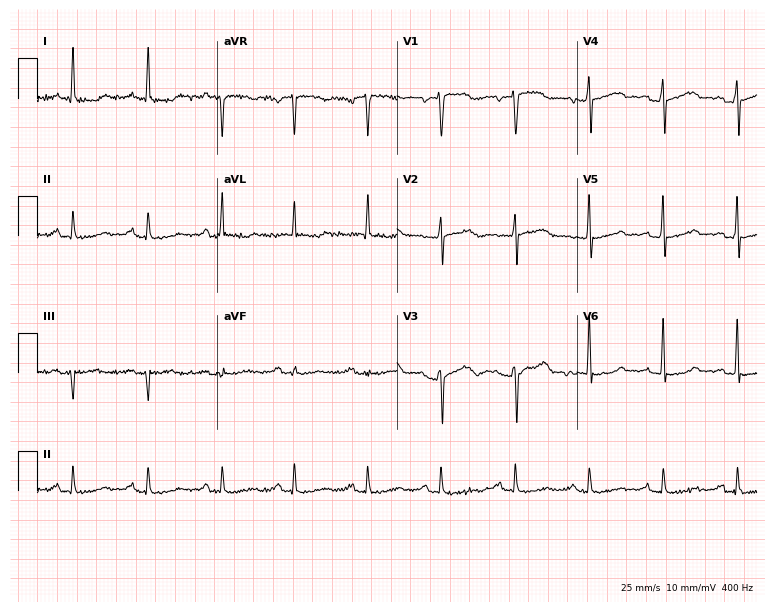
Resting 12-lead electrocardiogram. Patient: a man, 78 years old. None of these six findings is recorded: first-degree AV block, right bundle branch block (RBBB), left bundle branch block (LBBB), sinus bradycardia, atrial fibrillation (AF), sinus tachycardia. Findings outside these six are not listed.